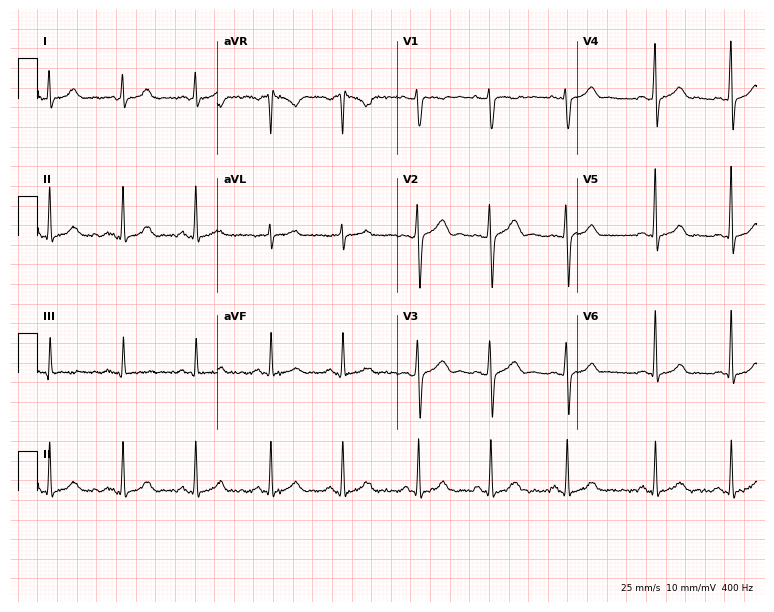
Resting 12-lead electrocardiogram. Patient: a female, 23 years old. Read as a normal ECG.